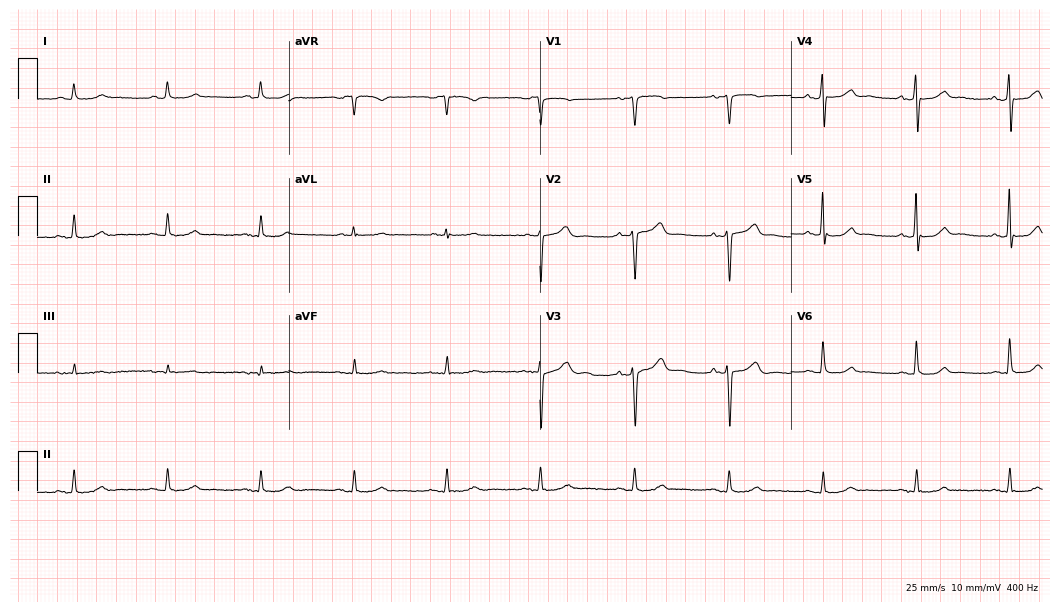
ECG — a male, 60 years old. Screened for six findings — first-degree AV block, right bundle branch block (RBBB), left bundle branch block (LBBB), sinus bradycardia, atrial fibrillation (AF), sinus tachycardia — none is recorded.